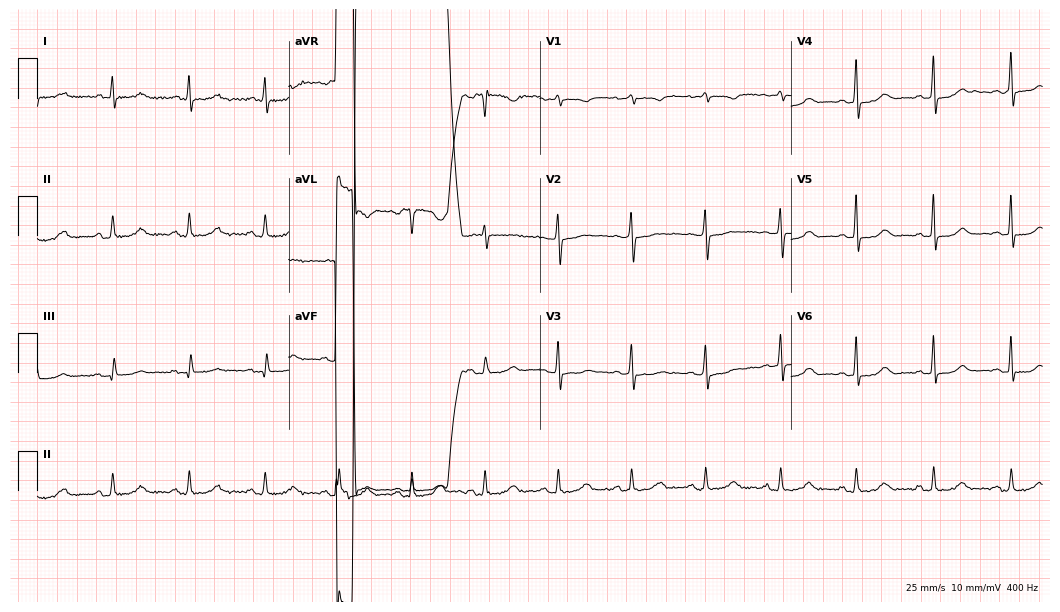
12-lead ECG from a 57-year-old female patient. Screened for six findings — first-degree AV block, right bundle branch block, left bundle branch block, sinus bradycardia, atrial fibrillation, sinus tachycardia — none is recorded.